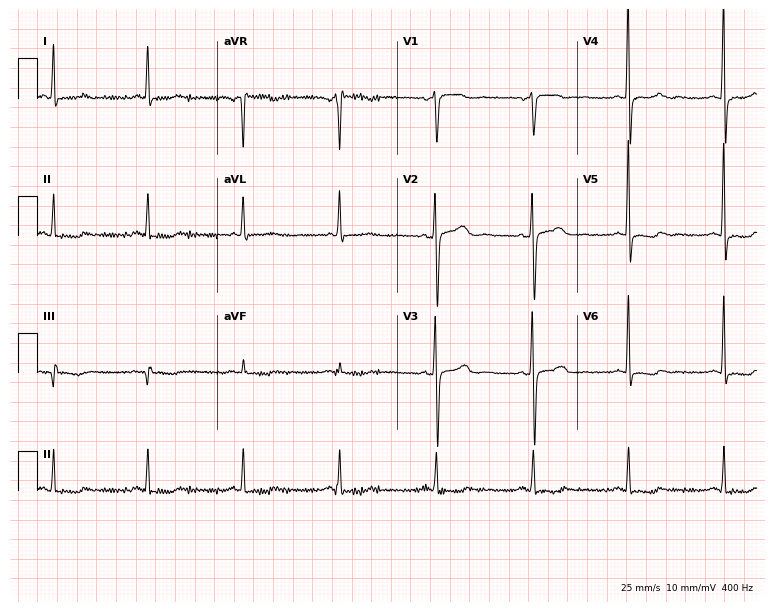
Electrocardiogram (7.3-second recording at 400 Hz), a female, 52 years old. Of the six screened findings (first-degree AV block, right bundle branch block, left bundle branch block, sinus bradycardia, atrial fibrillation, sinus tachycardia), none is recorded. Only these six findings were labelled.